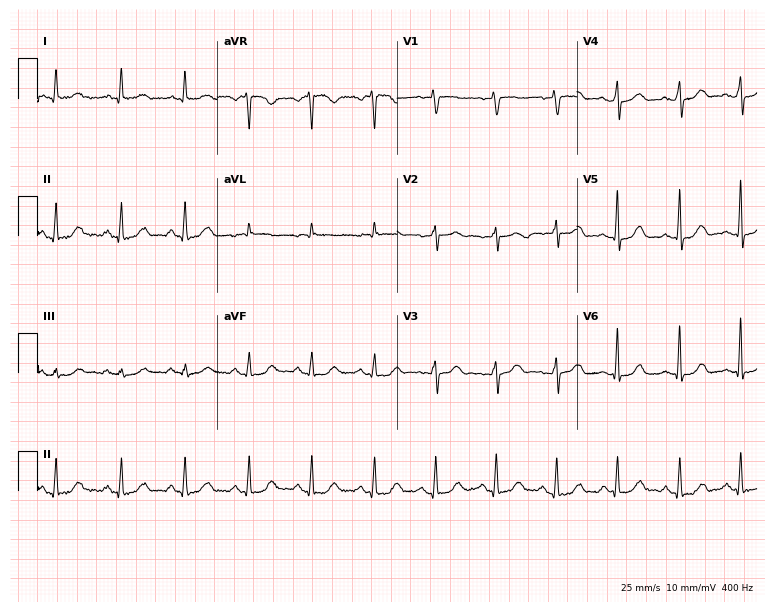
Electrocardiogram, a female patient, 60 years old. Of the six screened findings (first-degree AV block, right bundle branch block, left bundle branch block, sinus bradycardia, atrial fibrillation, sinus tachycardia), none is recorded. Findings outside these six are not listed.